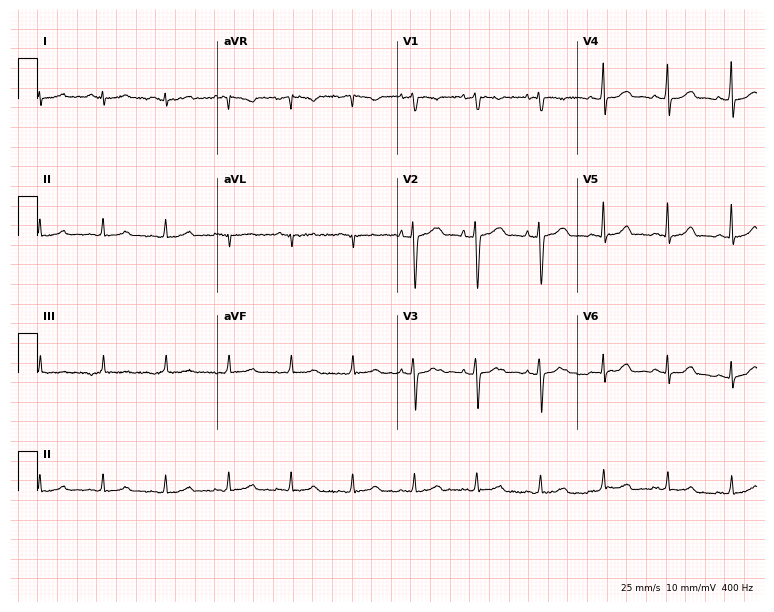
Resting 12-lead electrocardiogram. Patient: a female, 44 years old. None of these six findings is recorded: first-degree AV block, right bundle branch block, left bundle branch block, sinus bradycardia, atrial fibrillation, sinus tachycardia. Other findings, if any, are not listed.